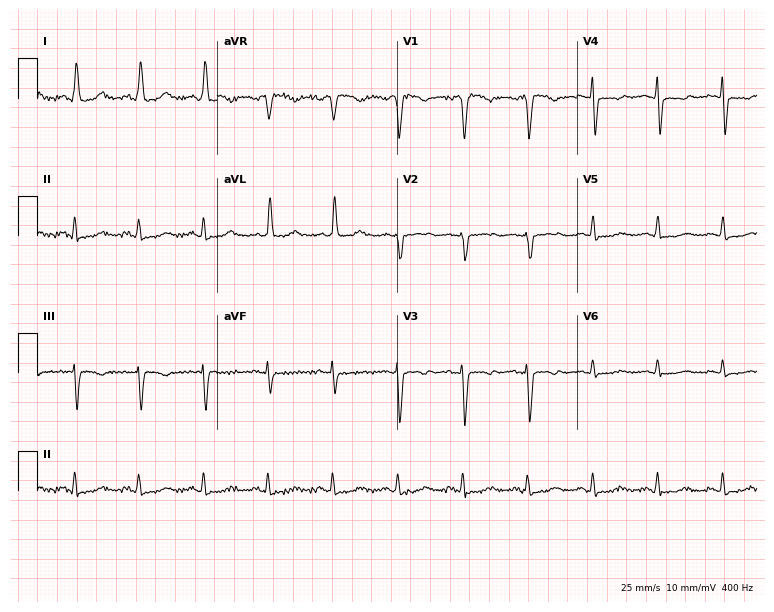
Electrocardiogram, a woman, 59 years old. Overall reading on record: normal ECG.